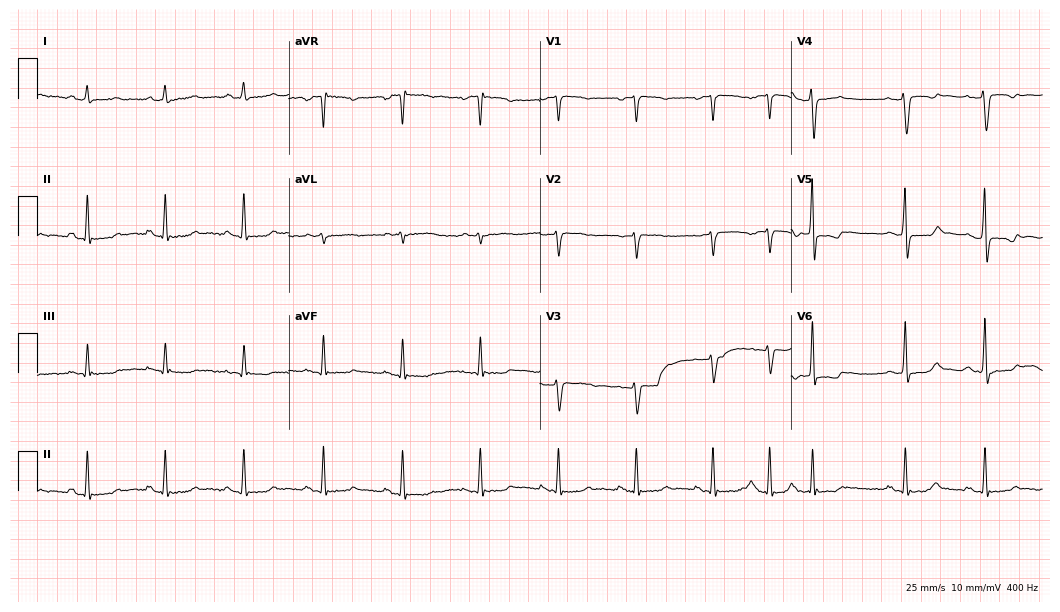
12-lead ECG from a female, 59 years old. No first-degree AV block, right bundle branch block, left bundle branch block, sinus bradycardia, atrial fibrillation or sinus tachycardia recorded for this tracing.